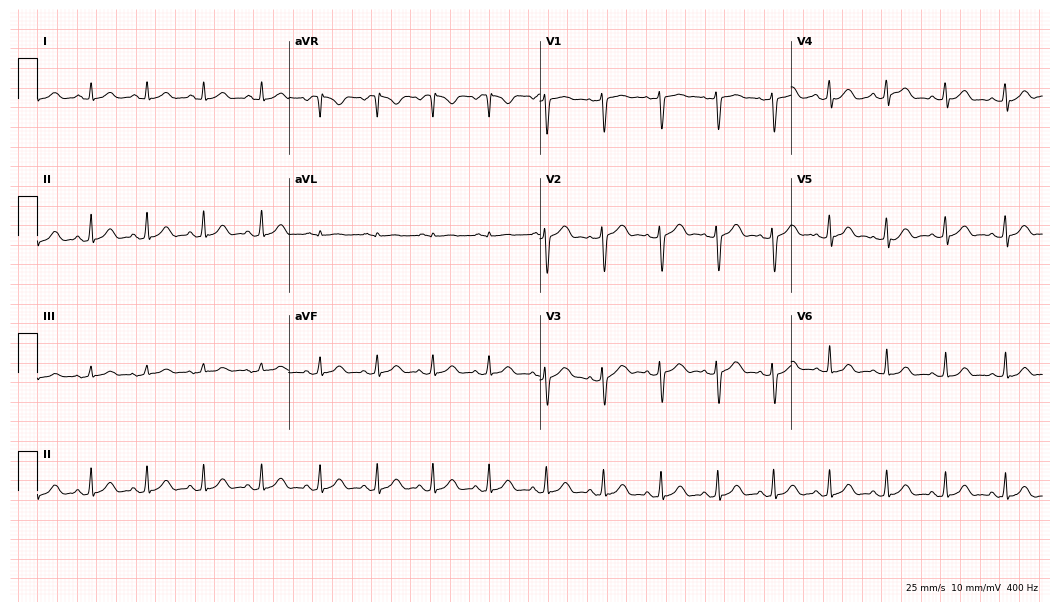
Electrocardiogram, a 31-year-old female patient. Interpretation includes sinus tachycardia (a sinus rate of 100 beats per minute or more).